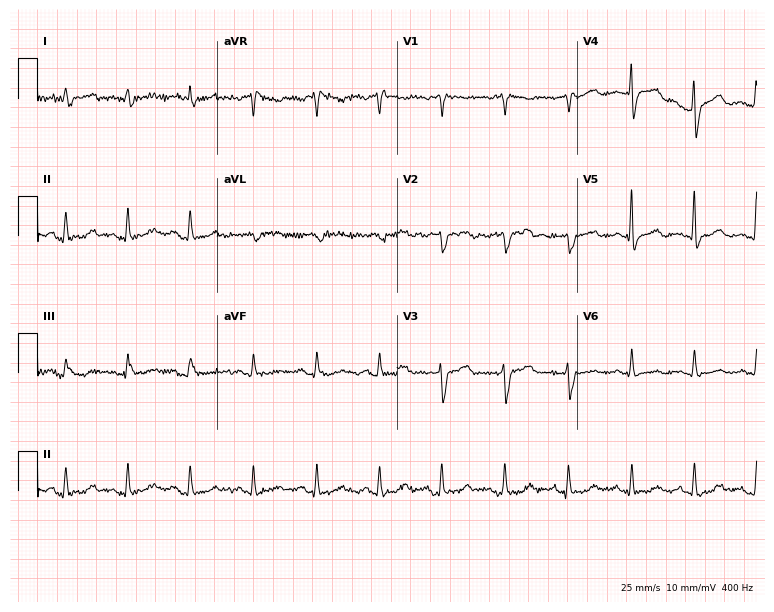
12-lead ECG from a 62-year-old woman. No first-degree AV block, right bundle branch block, left bundle branch block, sinus bradycardia, atrial fibrillation or sinus tachycardia recorded for this tracing. Other findings, if any, are not listed.